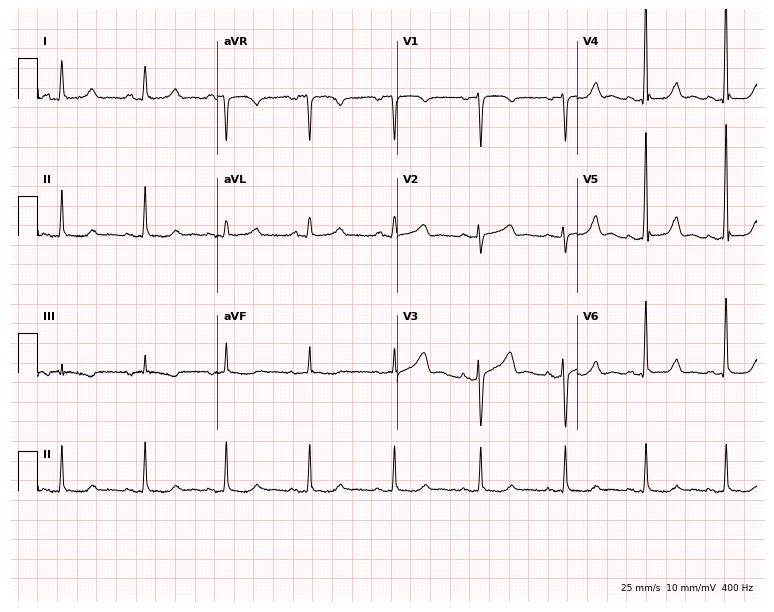
12-lead ECG from a 41-year-old woman. Screened for six findings — first-degree AV block, right bundle branch block (RBBB), left bundle branch block (LBBB), sinus bradycardia, atrial fibrillation (AF), sinus tachycardia — none is recorded. Only these six findings were labelled.